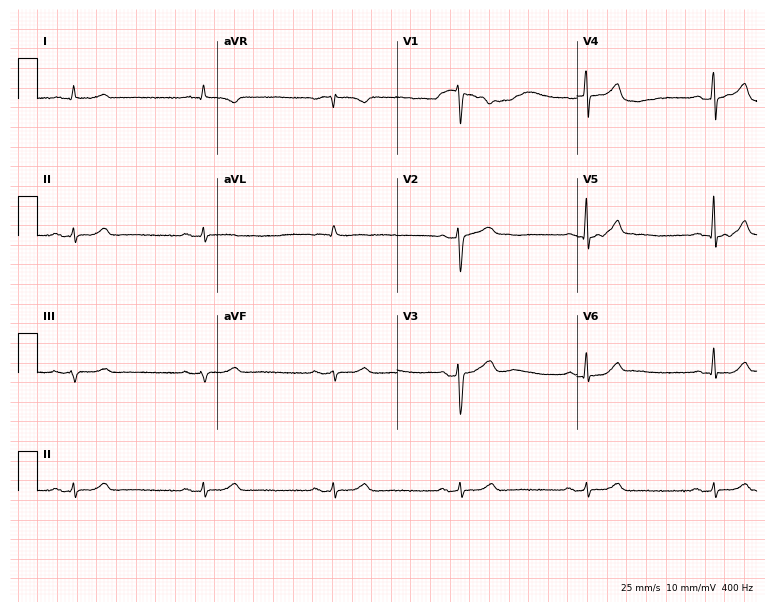
Resting 12-lead electrocardiogram. Patient: a 60-year-old woman. The tracing shows sinus bradycardia (a sinus rate of 50 beats per minute or less).